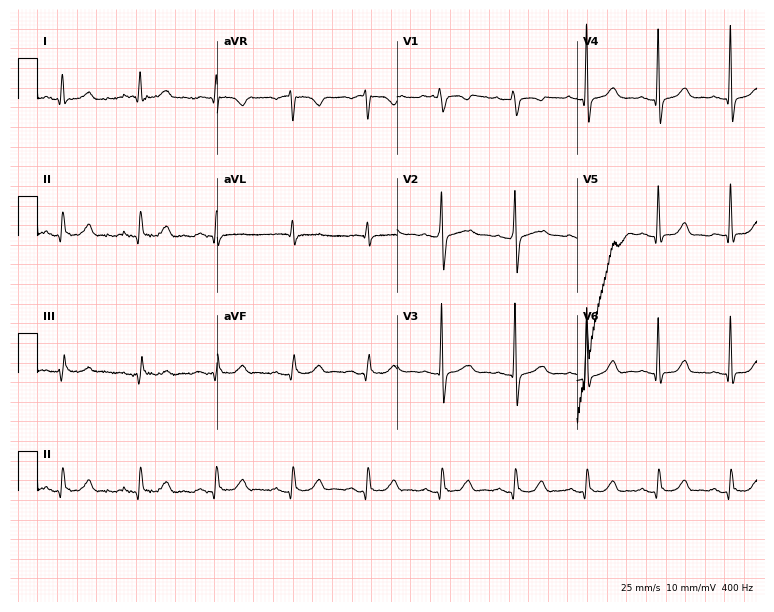
Standard 12-lead ECG recorded from a 54-year-old female patient (7.3-second recording at 400 Hz). Read as a normal ECG.